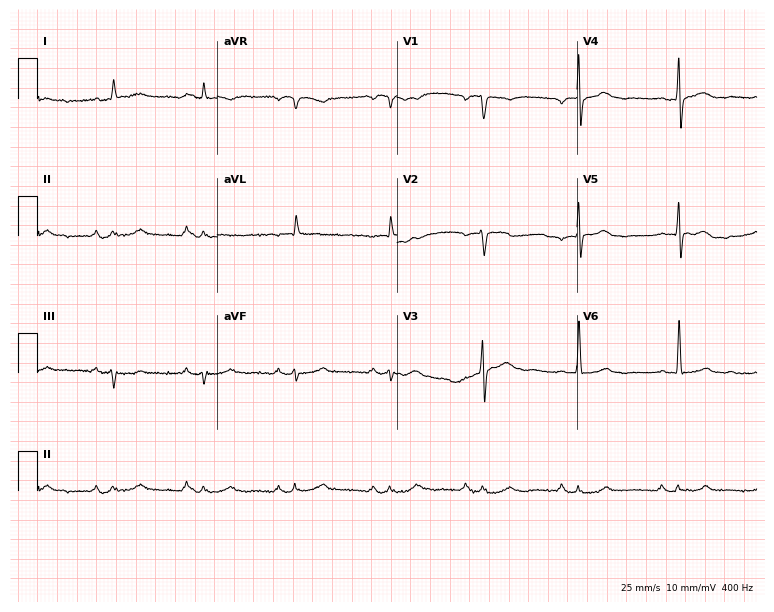
Resting 12-lead electrocardiogram. Patient: a man, 70 years old. None of these six findings is recorded: first-degree AV block, right bundle branch block, left bundle branch block, sinus bradycardia, atrial fibrillation, sinus tachycardia.